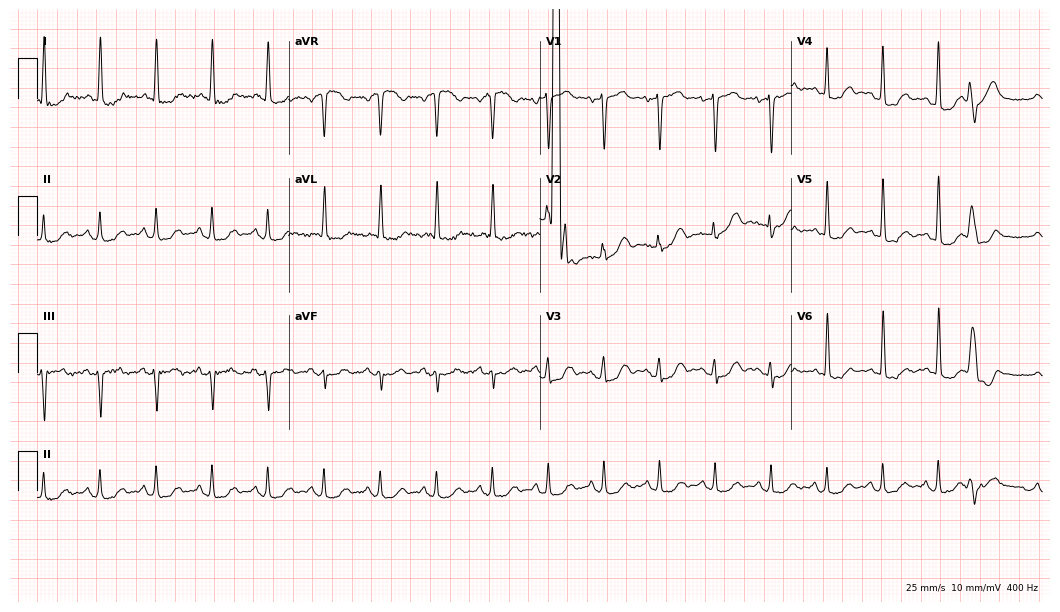
Electrocardiogram (10.2-second recording at 400 Hz), a female patient, 75 years old. Interpretation includes right bundle branch block (RBBB), sinus bradycardia (a sinus rate of 50 beats per minute or less).